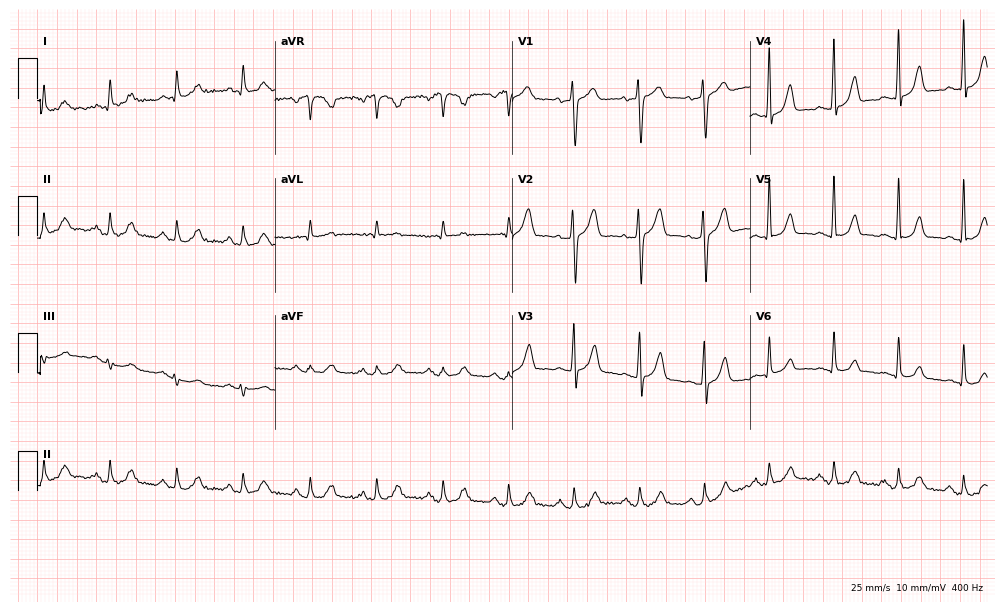
ECG — a female patient, 55 years old. Labelled as a normal ECG.